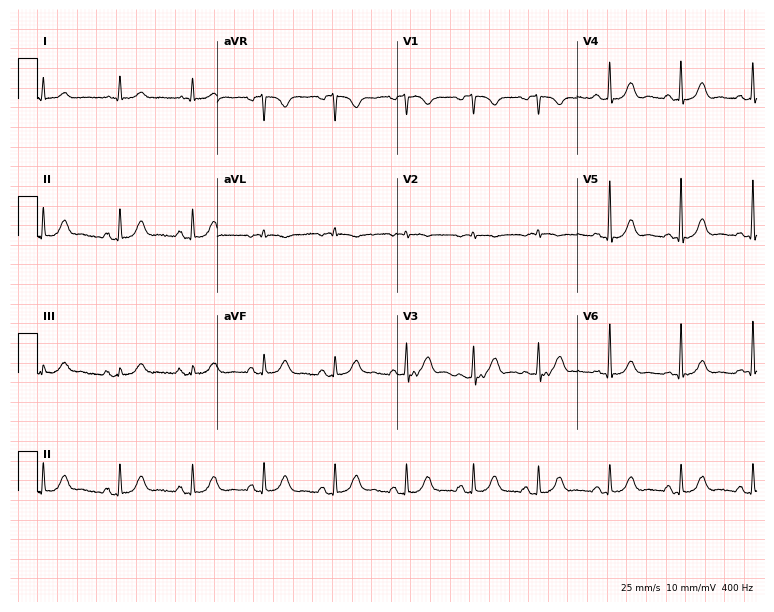
Electrocardiogram, a woman, 73 years old. Overall reading on record: normal ECG.